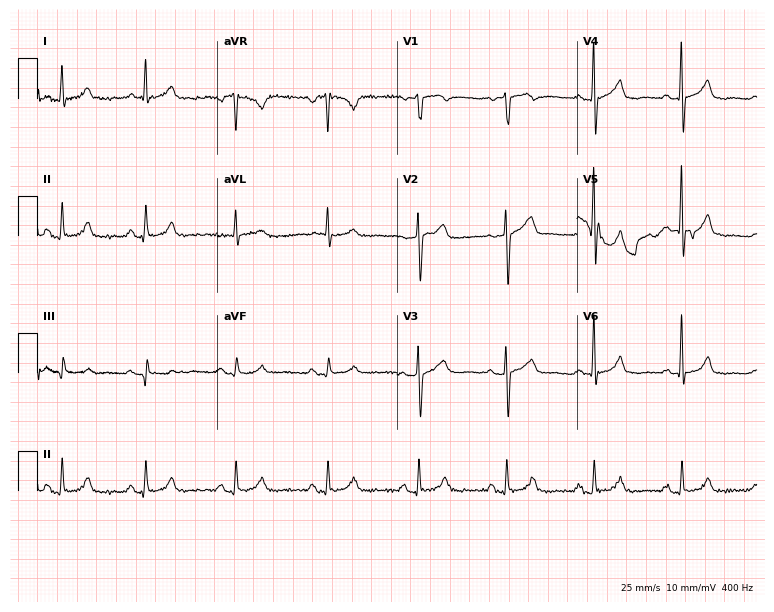
12-lead ECG from an 82-year-old female (7.3-second recording at 400 Hz). No first-degree AV block, right bundle branch block, left bundle branch block, sinus bradycardia, atrial fibrillation or sinus tachycardia recorded for this tracing.